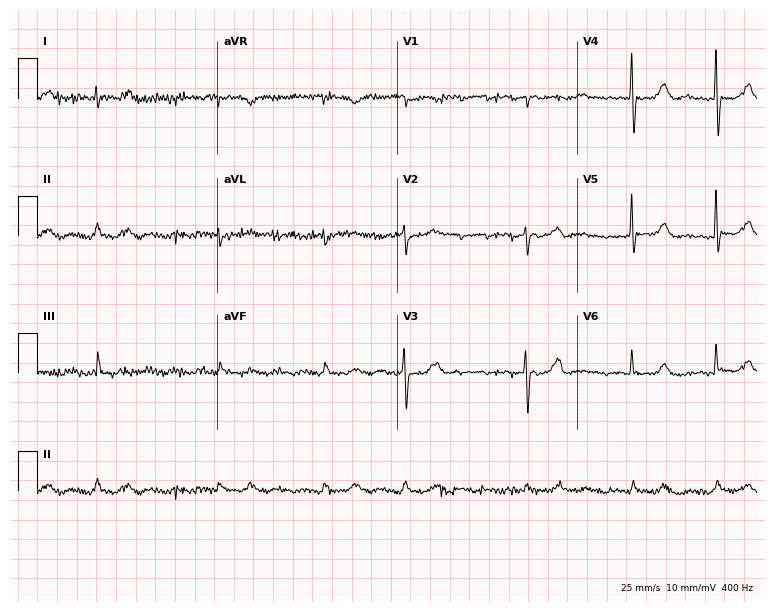
Resting 12-lead electrocardiogram. Patient: a female, 83 years old. The tracing shows atrial fibrillation.